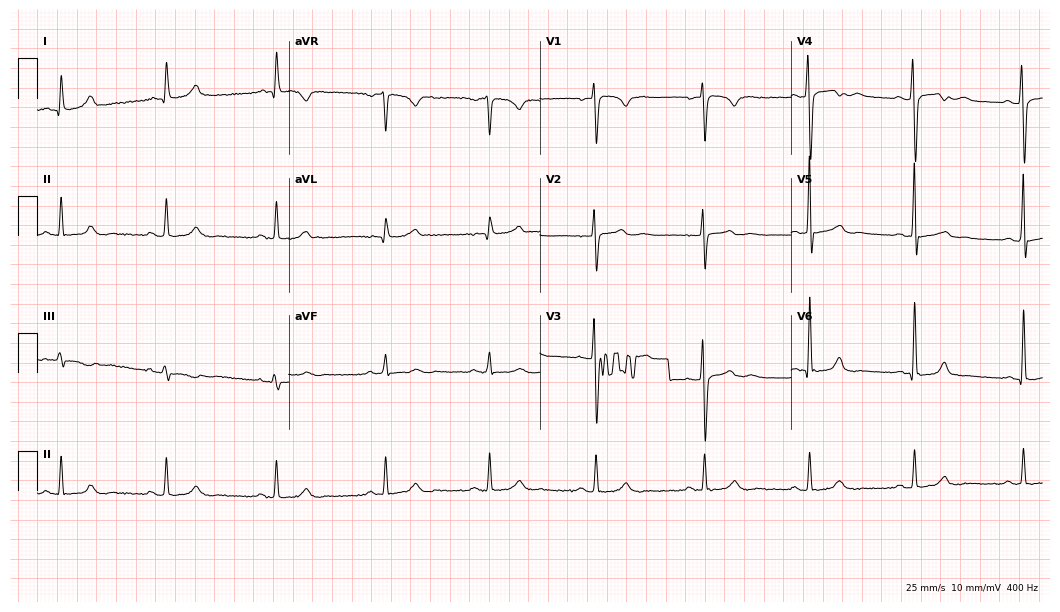
Electrocardiogram, a 45-year-old male patient. Of the six screened findings (first-degree AV block, right bundle branch block, left bundle branch block, sinus bradycardia, atrial fibrillation, sinus tachycardia), none is recorded. Other findings, if any, are not listed.